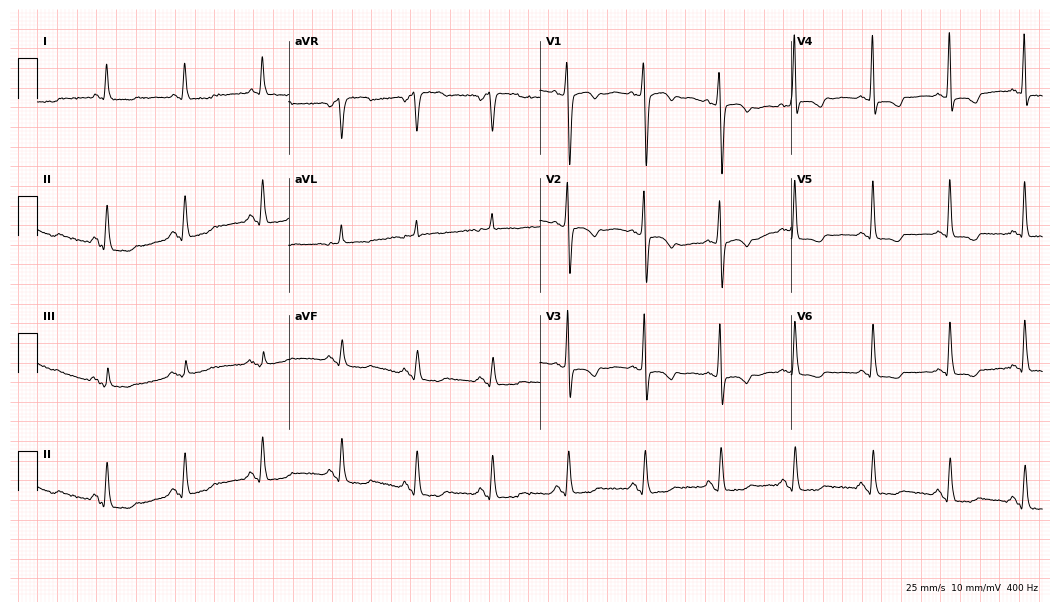
12-lead ECG from a female, 65 years old. No first-degree AV block, right bundle branch block, left bundle branch block, sinus bradycardia, atrial fibrillation or sinus tachycardia recorded for this tracing.